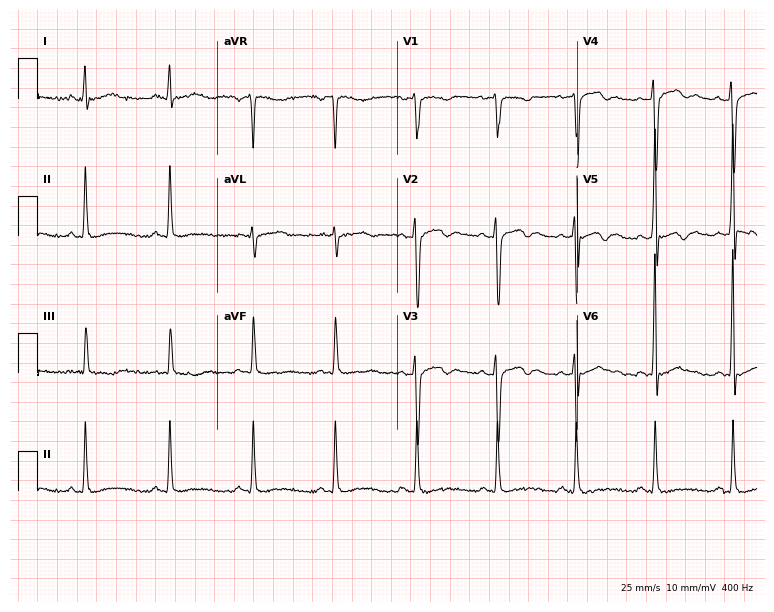
12-lead ECG from a 42-year-old man (7.3-second recording at 400 Hz). No first-degree AV block, right bundle branch block (RBBB), left bundle branch block (LBBB), sinus bradycardia, atrial fibrillation (AF) or sinus tachycardia recorded for this tracing.